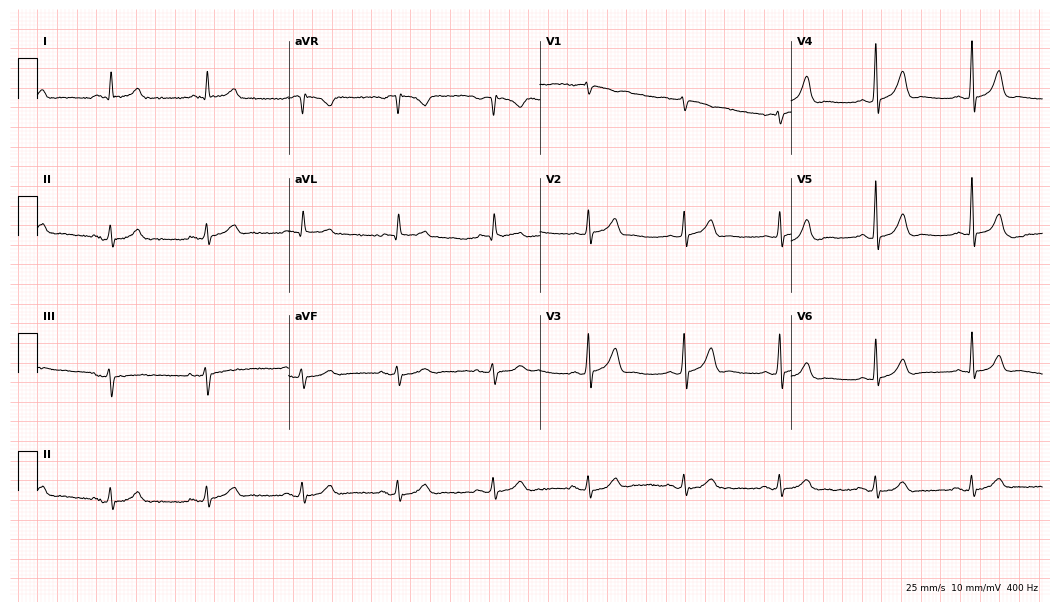
Electrocardiogram, a male, 84 years old. Overall reading on record: normal ECG.